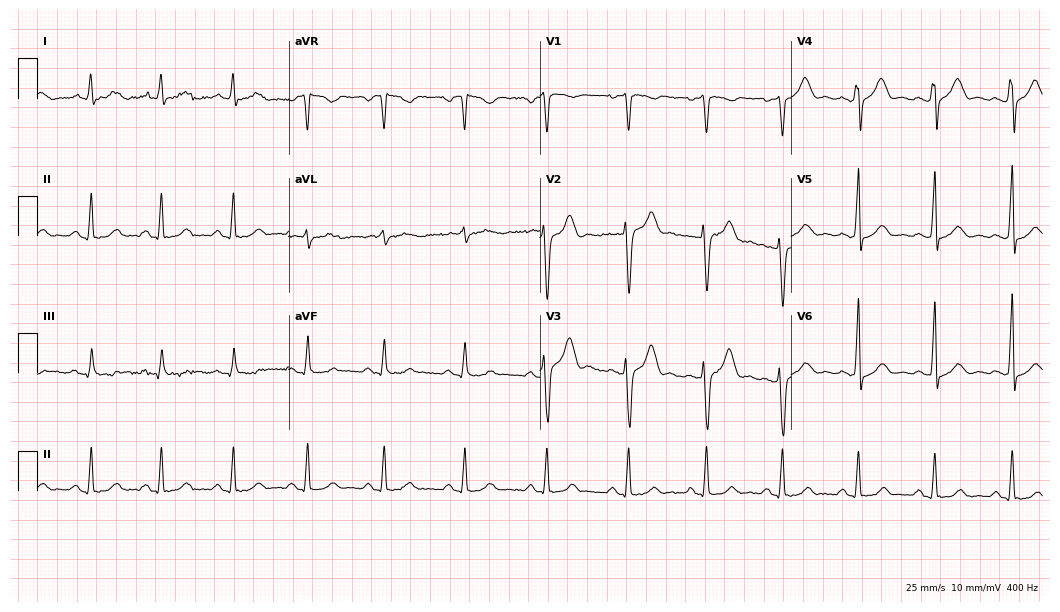
12-lead ECG (10.2-second recording at 400 Hz) from a 30-year-old male patient. Labelled as a normal ECG.